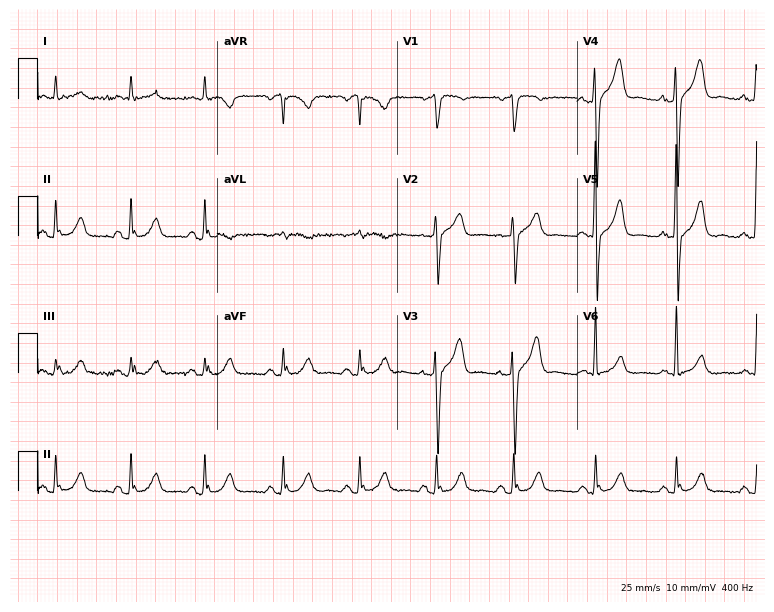
Resting 12-lead electrocardiogram (7.3-second recording at 400 Hz). Patient: a 64-year-old male. Read as a normal ECG.